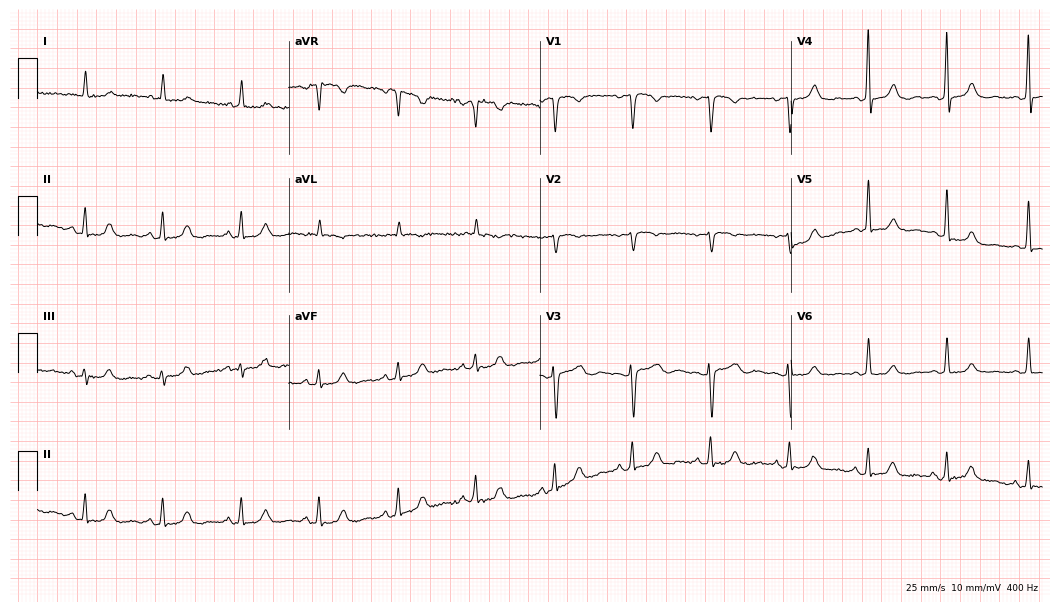
ECG — a 72-year-old female. Screened for six findings — first-degree AV block, right bundle branch block (RBBB), left bundle branch block (LBBB), sinus bradycardia, atrial fibrillation (AF), sinus tachycardia — none is recorded. Other findings, if any, are not listed.